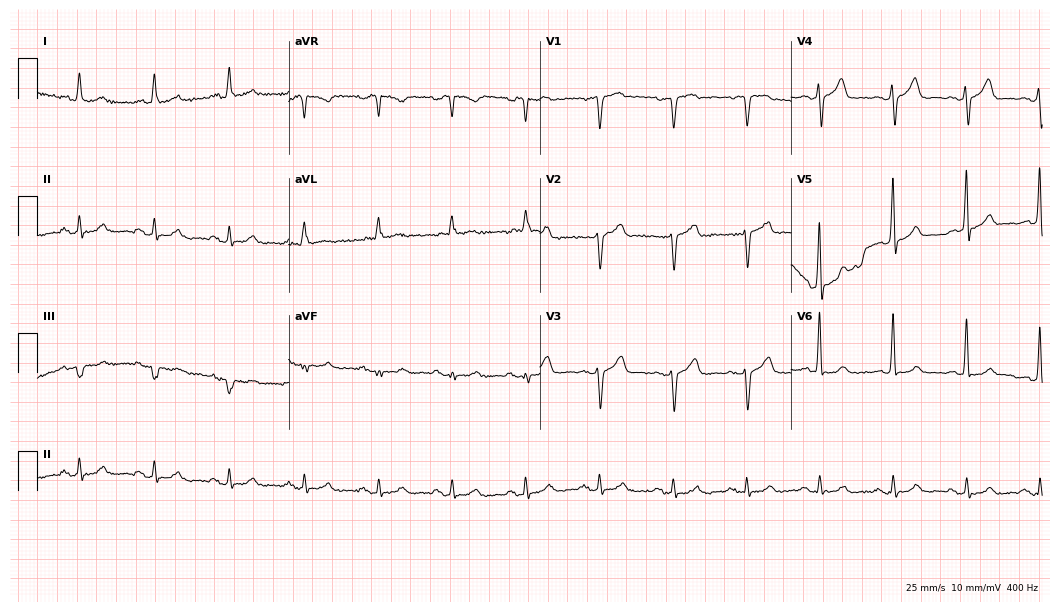
12-lead ECG (10.2-second recording at 400 Hz) from a male, 82 years old. Screened for six findings — first-degree AV block, right bundle branch block (RBBB), left bundle branch block (LBBB), sinus bradycardia, atrial fibrillation (AF), sinus tachycardia — none is recorded. Only these six findings were labelled.